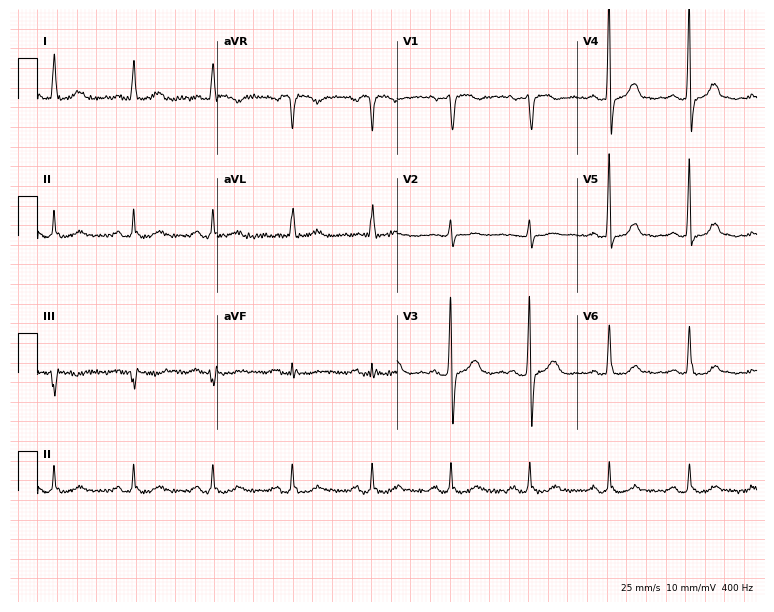
ECG — a woman, 72 years old. Screened for six findings — first-degree AV block, right bundle branch block (RBBB), left bundle branch block (LBBB), sinus bradycardia, atrial fibrillation (AF), sinus tachycardia — none is recorded.